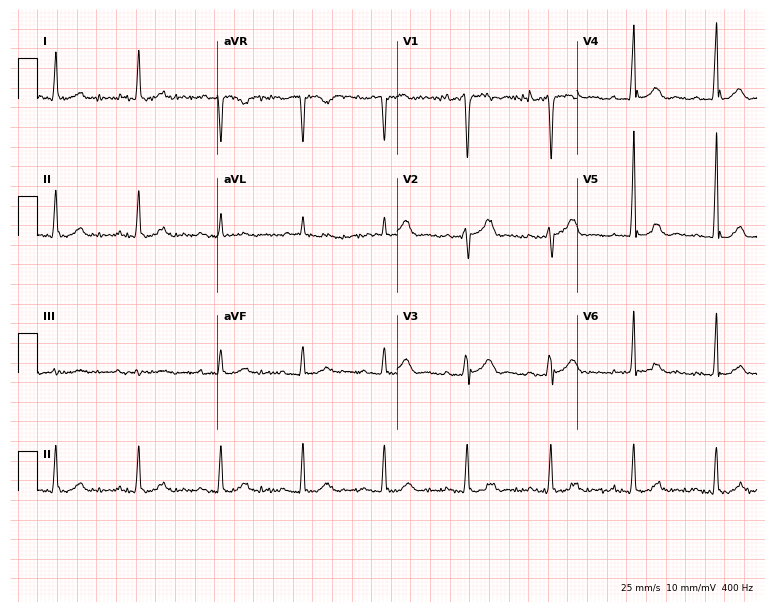
Electrocardiogram, a 72-year-old male. Of the six screened findings (first-degree AV block, right bundle branch block, left bundle branch block, sinus bradycardia, atrial fibrillation, sinus tachycardia), none is recorded.